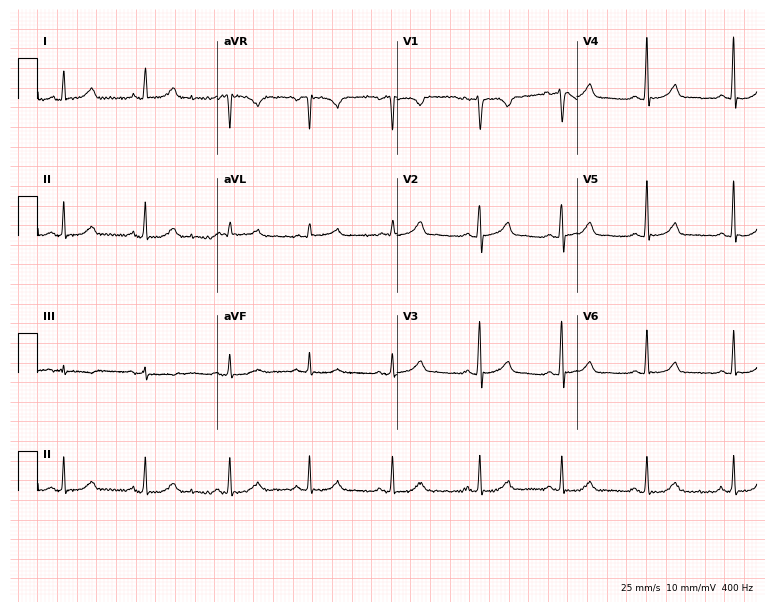
Electrocardiogram, a woman, 44 years old. Of the six screened findings (first-degree AV block, right bundle branch block (RBBB), left bundle branch block (LBBB), sinus bradycardia, atrial fibrillation (AF), sinus tachycardia), none is recorded. Other findings, if any, are not listed.